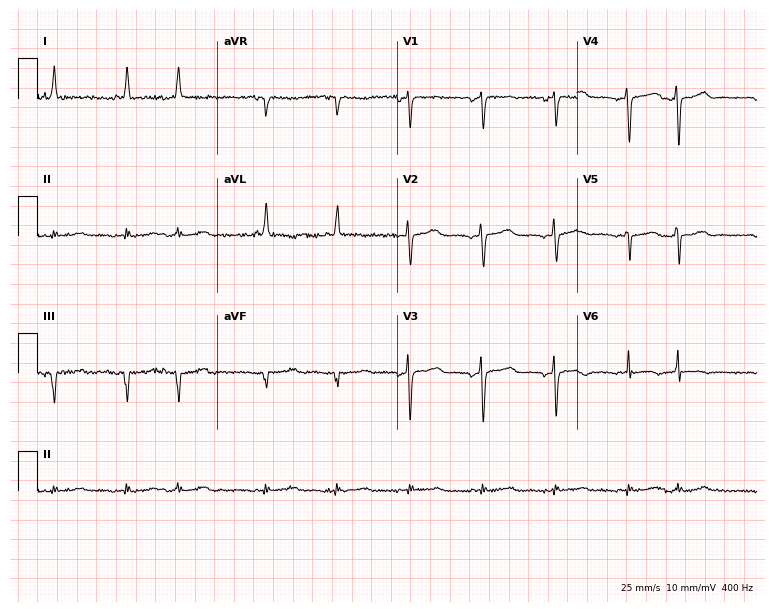
12-lead ECG from an 83-year-old woman. No first-degree AV block, right bundle branch block (RBBB), left bundle branch block (LBBB), sinus bradycardia, atrial fibrillation (AF) or sinus tachycardia recorded for this tracing. Only these six findings were labelled.